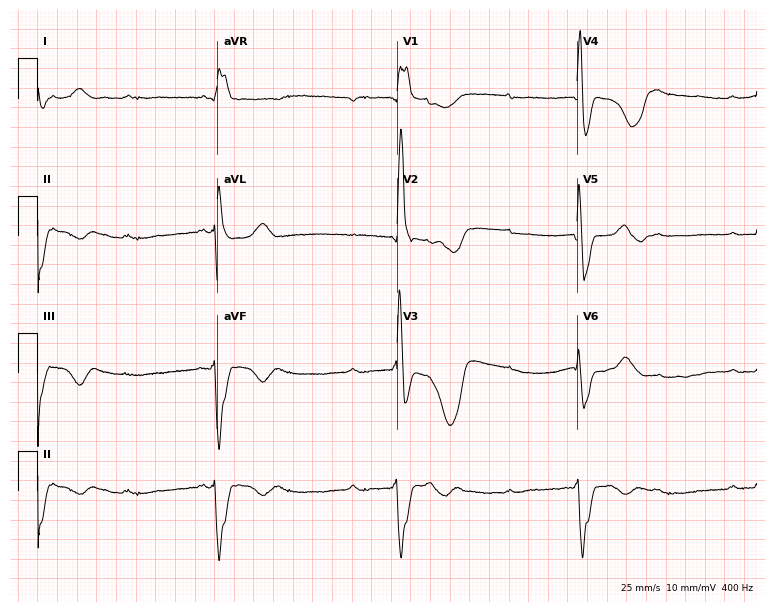
Electrocardiogram, a 39-year-old male. Interpretation includes atrial fibrillation.